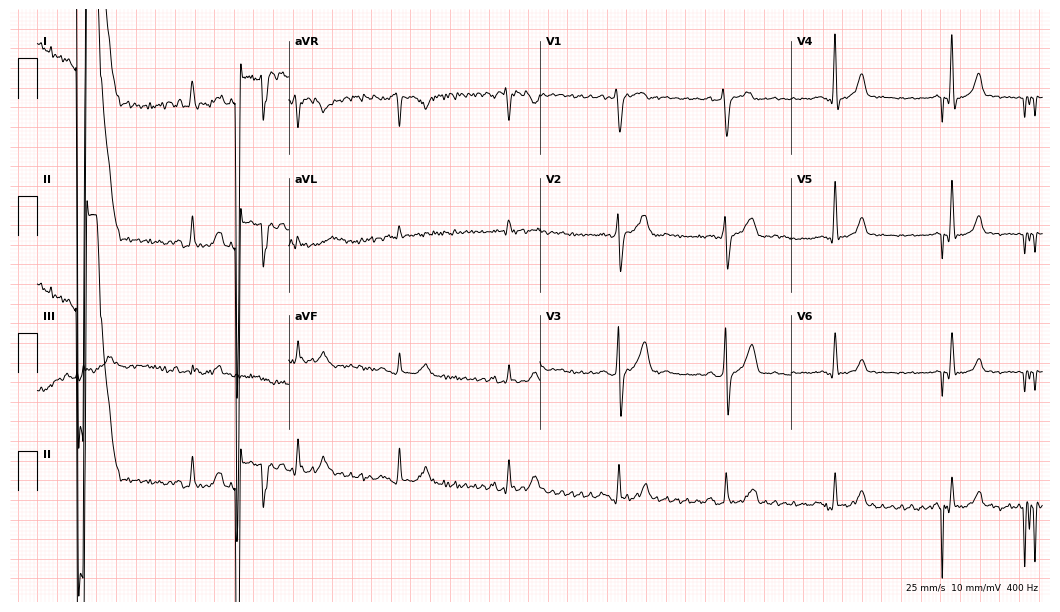
12-lead ECG from a male patient, 52 years old. Labelled as a normal ECG.